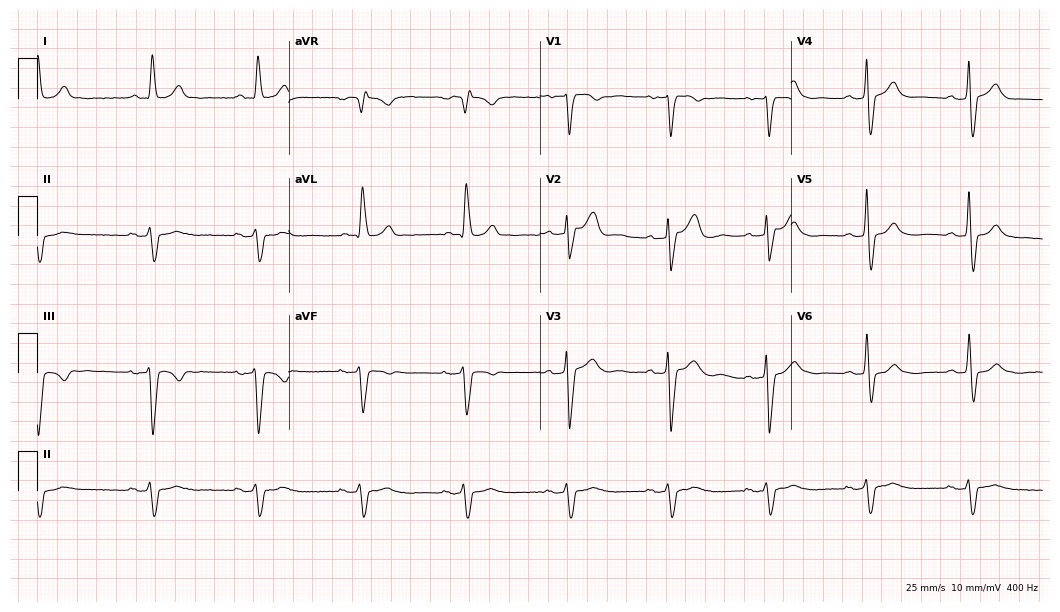
12-lead ECG from an 87-year-old male (10.2-second recording at 400 Hz). No first-degree AV block, right bundle branch block, left bundle branch block, sinus bradycardia, atrial fibrillation or sinus tachycardia recorded for this tracing. Other findings, if any, are not listed.